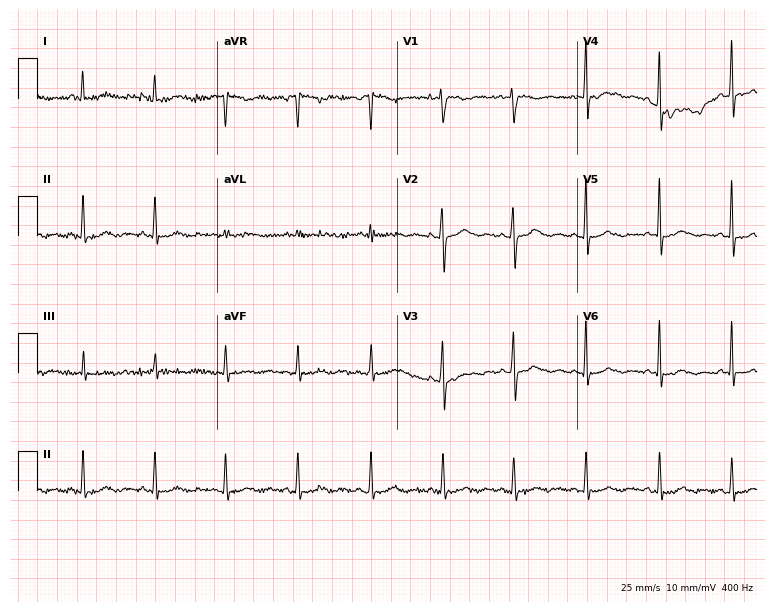
12-lead ECG from a 33-year-old female (7.3-second recording at 400 Hz). Recorded interpretation: within normal limits.